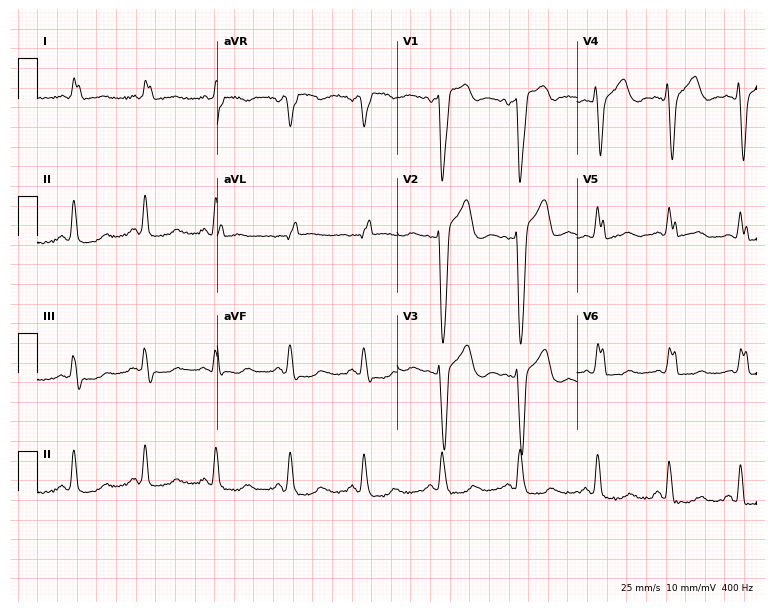
Resting 12-lead electrocardiogram (7.3-second recording at 400 Hz). Patient: a woman, 61 years old. The tracing shows left bundle branch block.